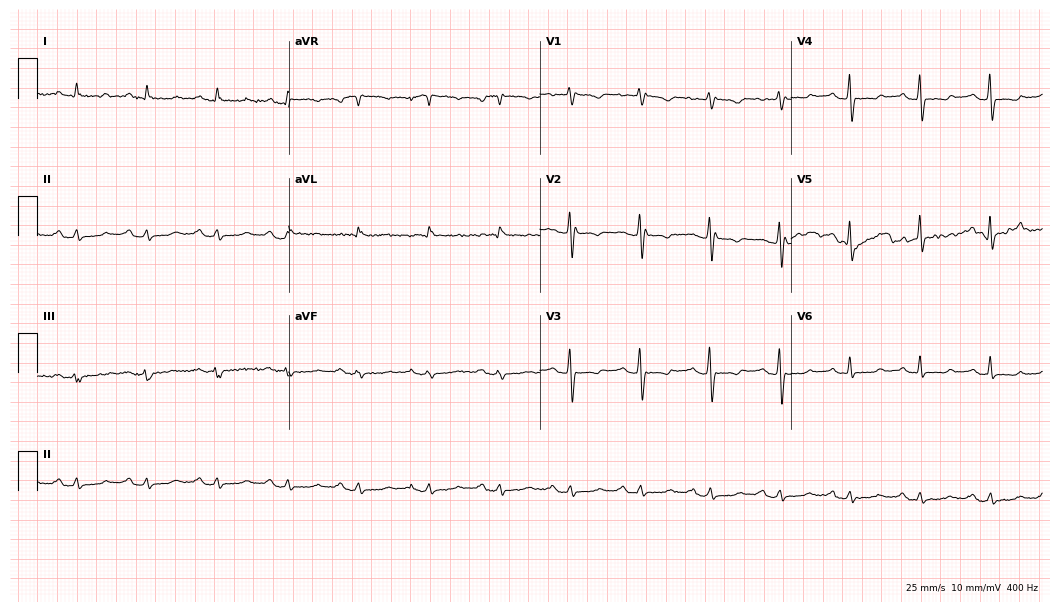
ECG — a man, 81 years old. Screened for six findings — first-degree AV block, right bundle branch block (RBBB), left bundle branch block (LBBB), sinus bradycardia, atrial fibrillation (AF), sinus tachycardia — none is recorded. Findings outside these six are not listed.